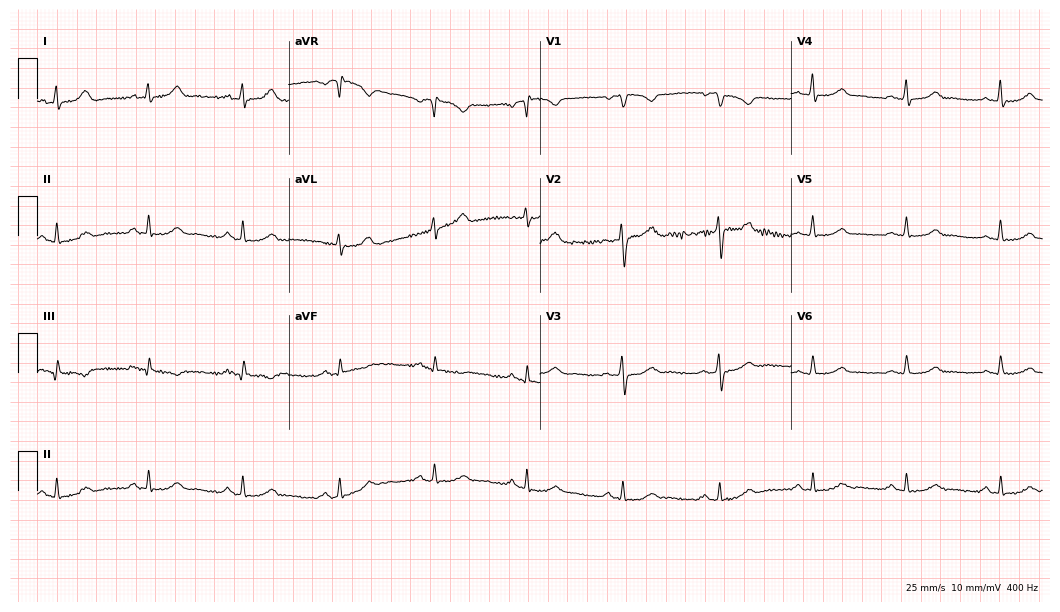
12-lead ECG from a 58-year-old woman (10.2-second recording at 400 Hz). Recorded interpretation: within normal limits.